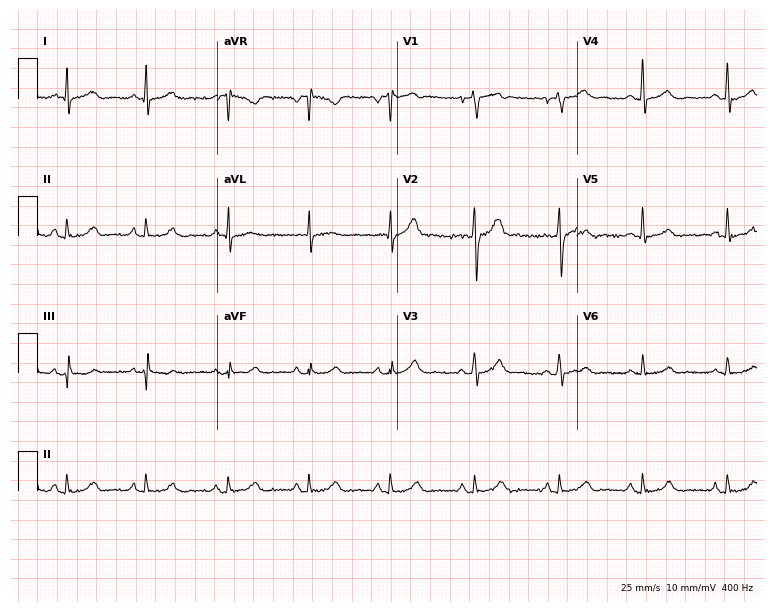
12-lead ECG from a man, 49 years old (7.3-second recording at 400 Hz). Recorded interpretation: within normal limits.